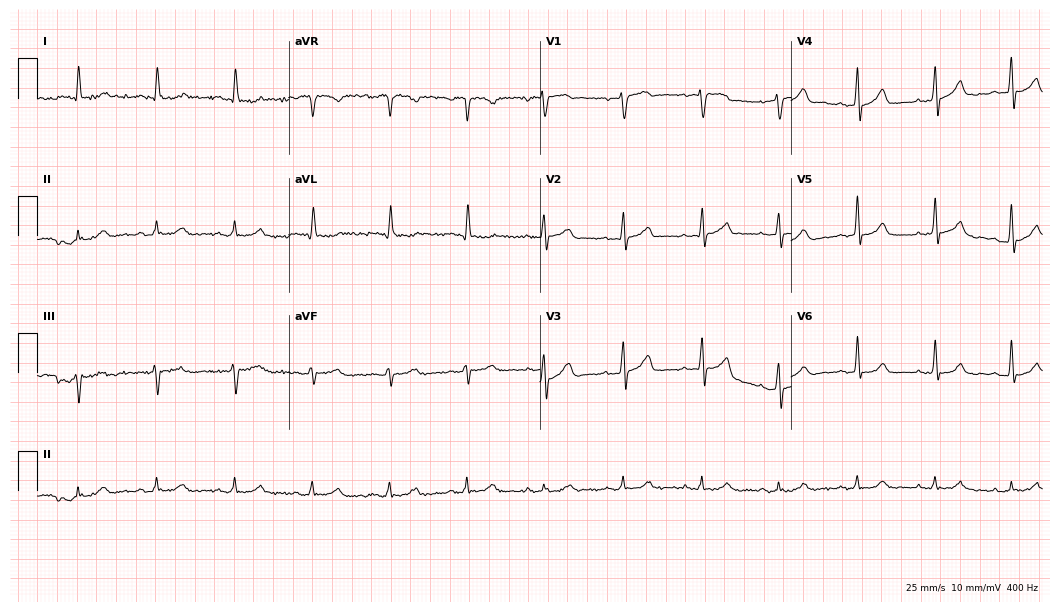
ECG — a 58-year-old male. Labelled as a normal ECG.